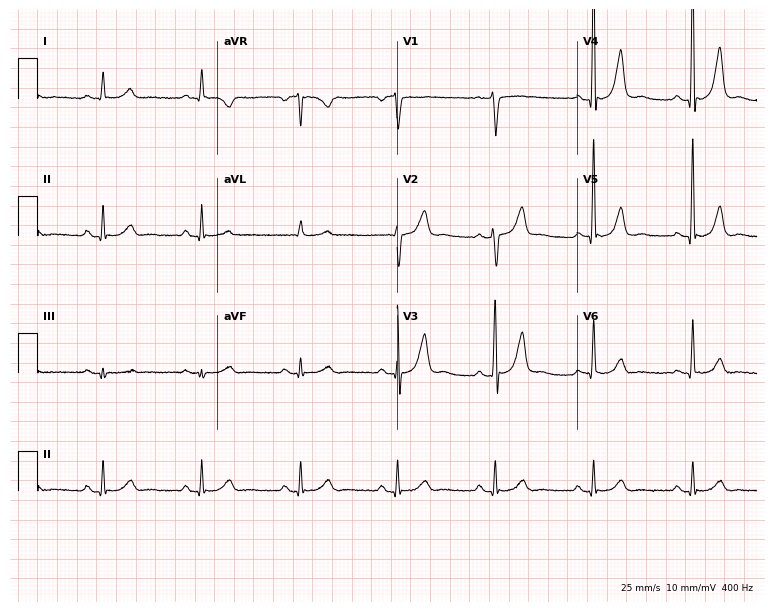
Resting 12-lead electrocardiogram (7.3-second recording at 400 Hz). Patient: a 54-year-old man. Read as a normal ECG.